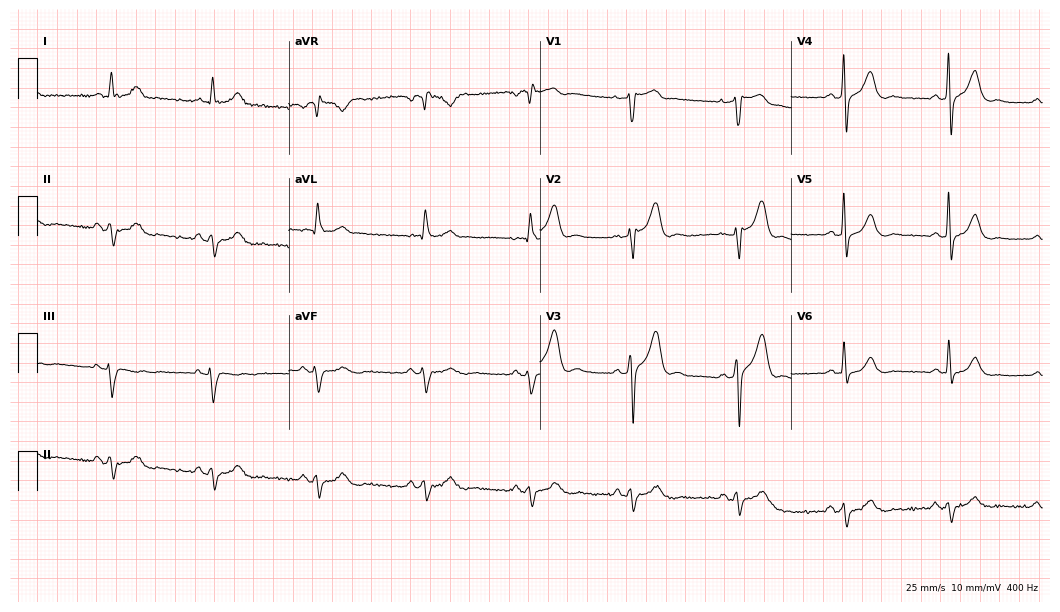
ECG (10.2-second recording at 400 Hz) — a man, 54 years old. Screened for six findings — first-degree AV block, right bundle branch block (RBBB), left bundle branch block (LBBB), sinus bradycardia, atrial fibrillation (AF), sinus tachycardia — none is recorded.